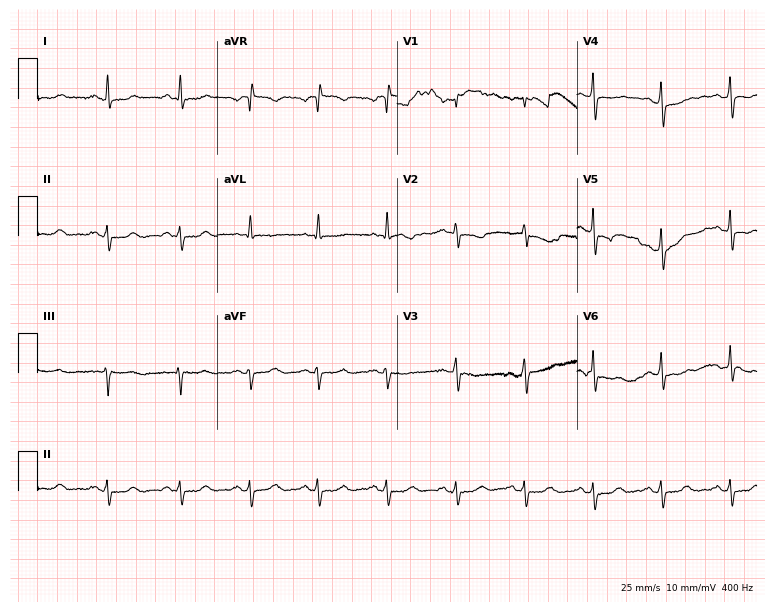
12-lead ECG from a woman, 49 years old (7.3-second recording at 400 Hz). No first-degree AV block, right bundle branch block (RBBB), left bundle branch block (LBBB), sinus bradycardia, atrial fibrillation (AF) or sinus tachycardia recorded for this tracing.